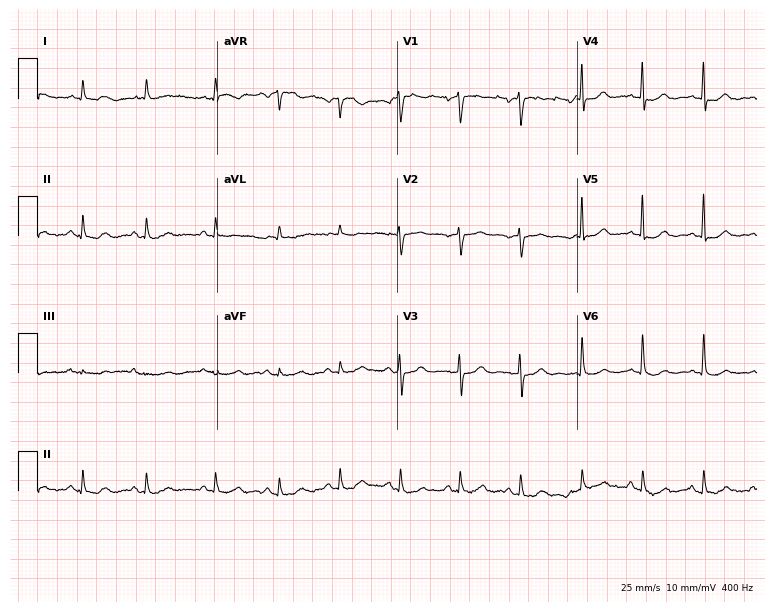
Standard 12-lead ECG recorded from a 75-year-old male patient. None of these six findings is recorded: first-degree AV block, right bundle branch block, left bundle branch block, sinus bradycardia, atrial fibrillation, sinus tachycardia.